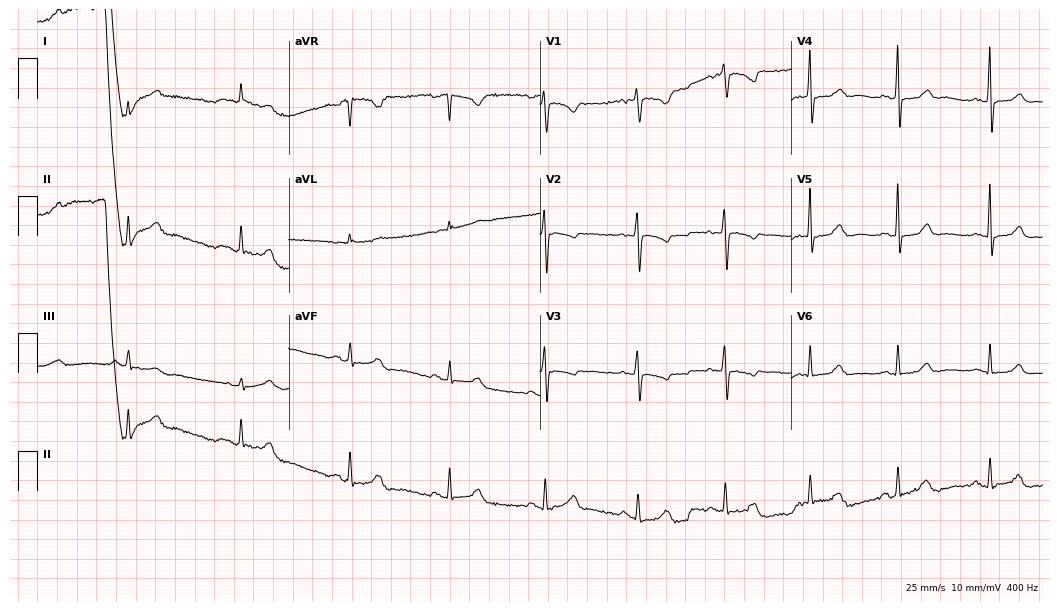
Standard 12-lead ECG recorded from a 60-year-old female. None of these six findings is recorded: first-degree AV block, right bundle branch block, left bundle branch block, sinus bradycardia, atrial fibrillation, sinus tachycardia. Findings outside these six are not listed.